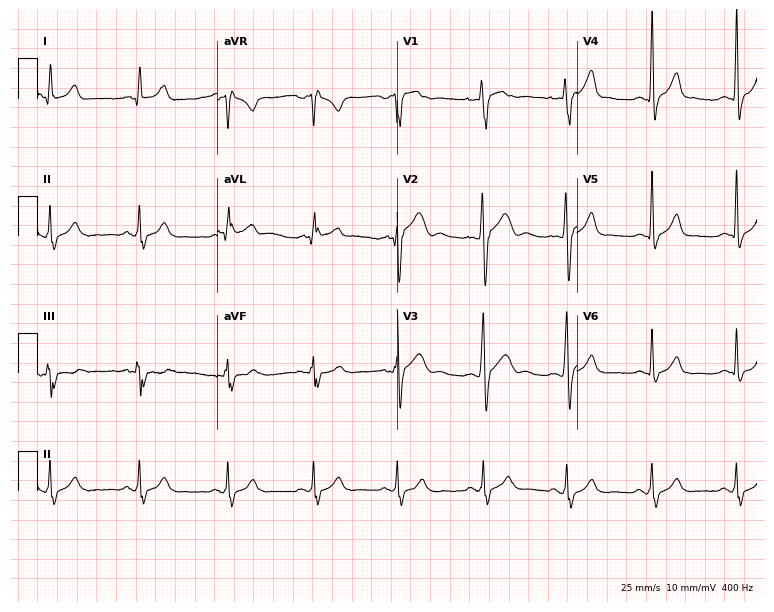
Electrocardiogram (7.3-second recording at 400 Hz), a 23-year-old man. Of the six screened findings (first-degree AV block, right bundle branch block, left bundle branch block, sinus bradycardia, atrial fibrillation, sinus tachycardia), none is recorded. Only these six findings were labelled.